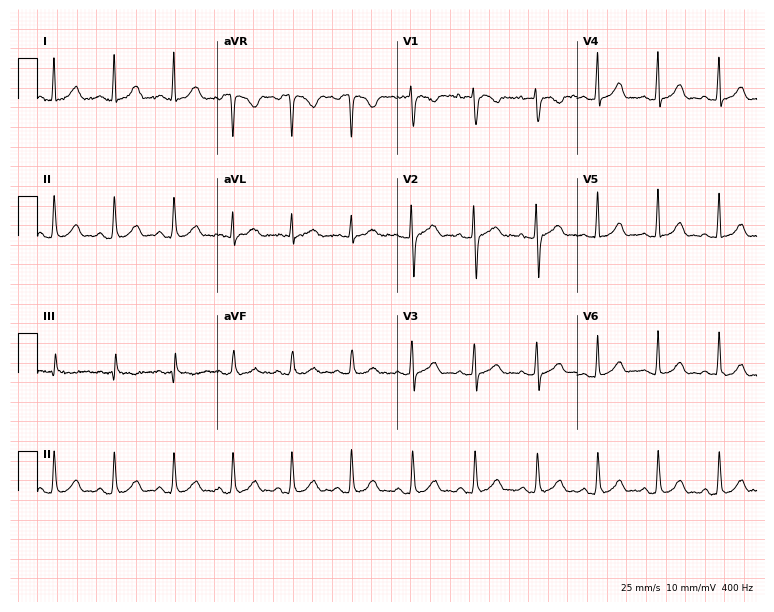
12-lead ECG from a 23-year-old female patient (7.3-second recording at 400 Hz). Recorded interpretation: within normal limits.